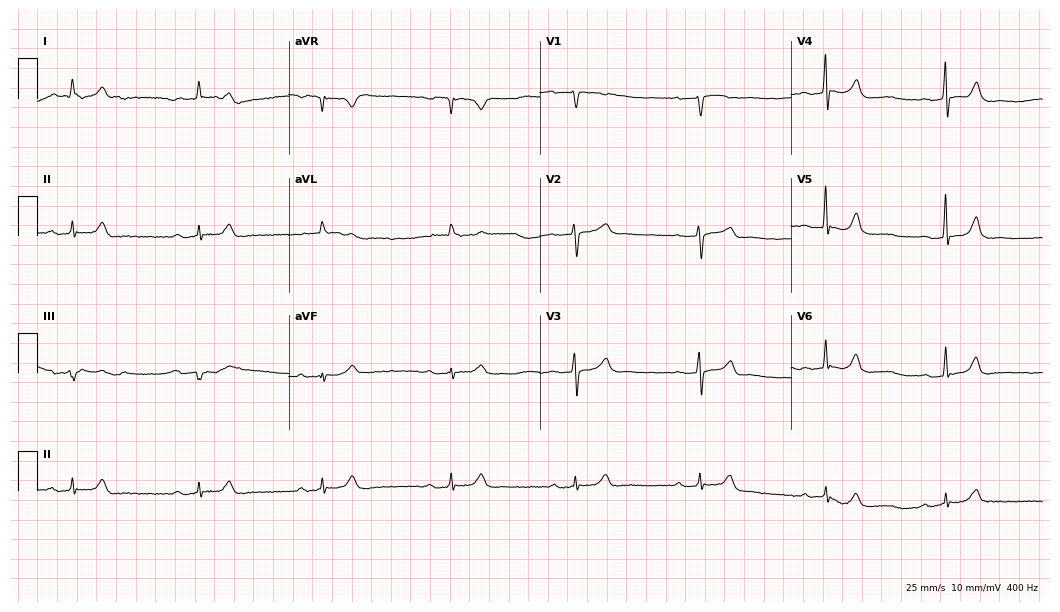
12-lead ECG from a male, 82 years old. Findings include first-degree AV block, sinus bradycardia (a sinus rate of 50 beats per minute or less).